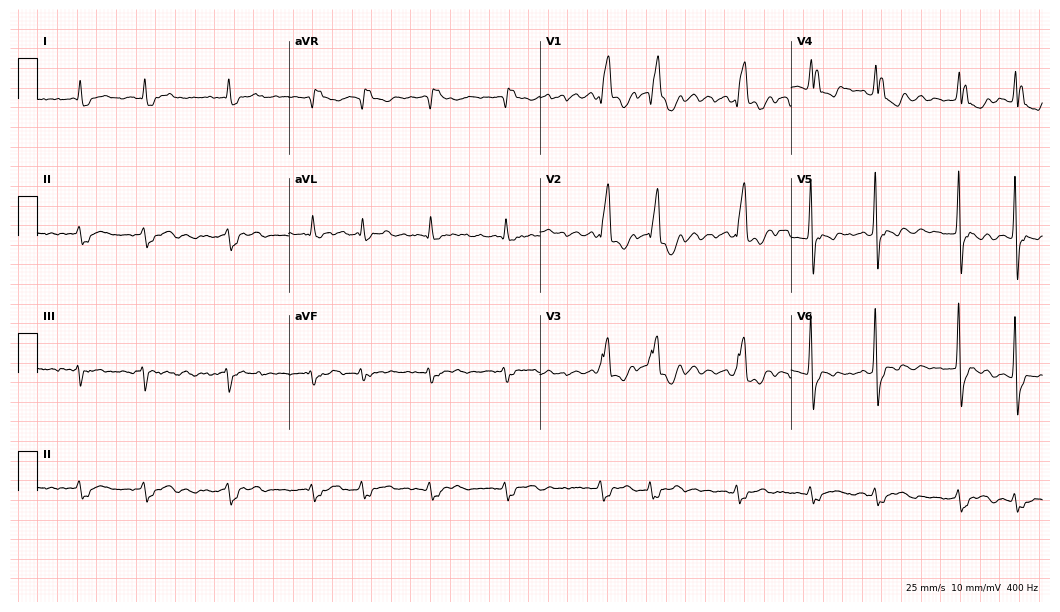
Electrocardiogram (10.2-second recording at 400 Hz), a male patient, 76 years old. Interpretation includes right bundle branch block (RBBB), atrial fibrillation (AF).